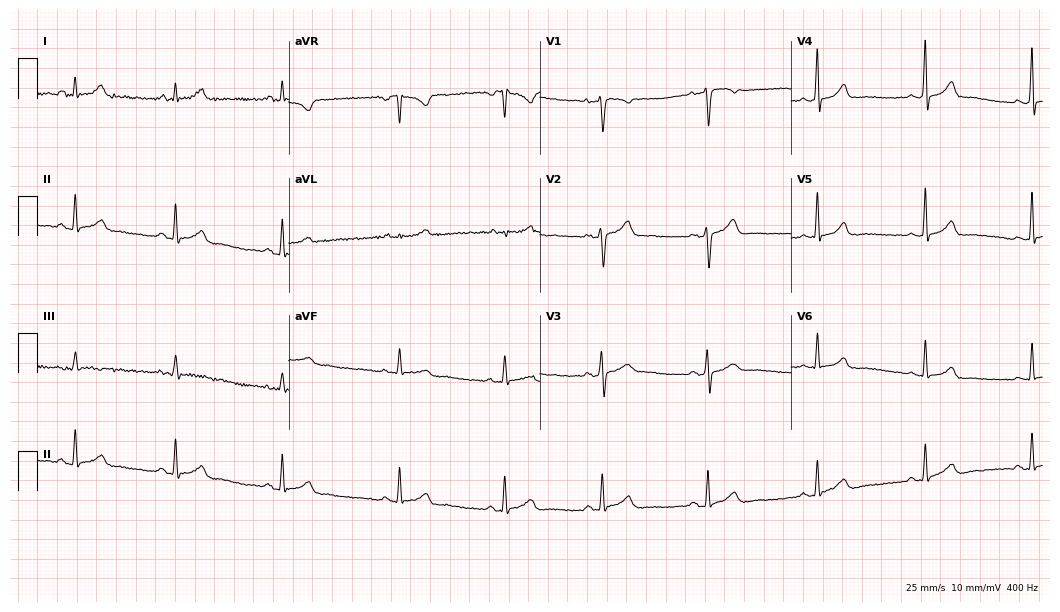
ECG (10.2-second recording at 400 Hz) — a 38-year-old woman. Labelled as a normal ECG.